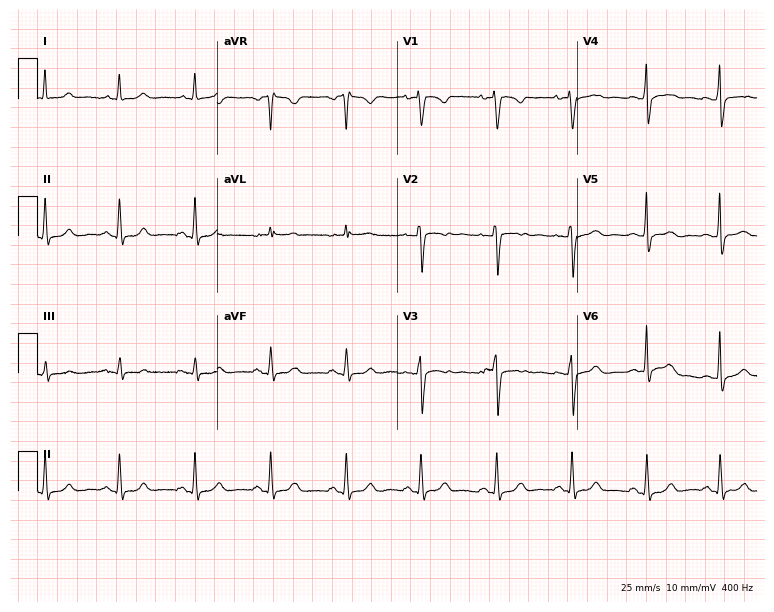
Resting 12-lead electrocardiogram. Patient: a female, 37 years old. None of these six findings is recorded: first-degree AV block, right bundle branch block, left bundle branch block, sinus bradycardia, atrial fibrillation, sinus tachycardia. Other findings, if any, are not listed.